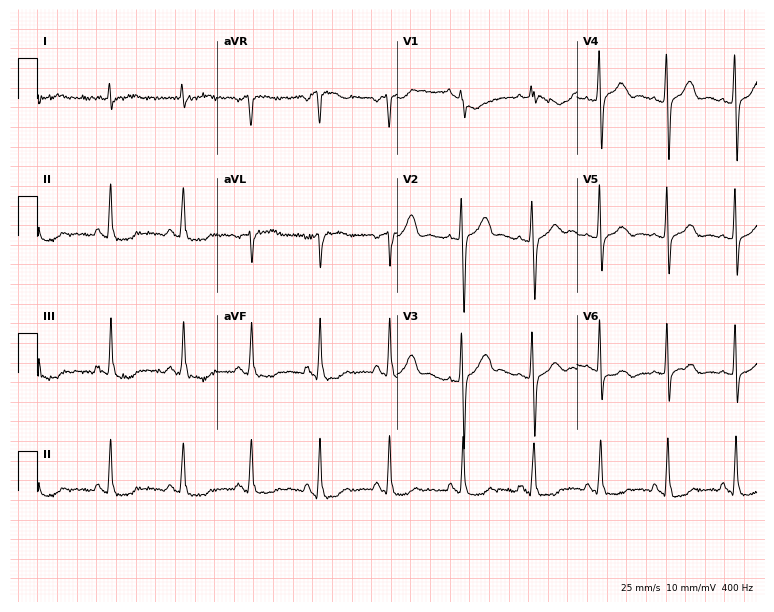
Electrocardiogram, a male patient, 56 years old. Of the six screened findings (first-degree AV block, right bundle branch block, left bundle branch block, sinus bradycardia, atrial fibrillation, sinus tachycardia), none is recorded.